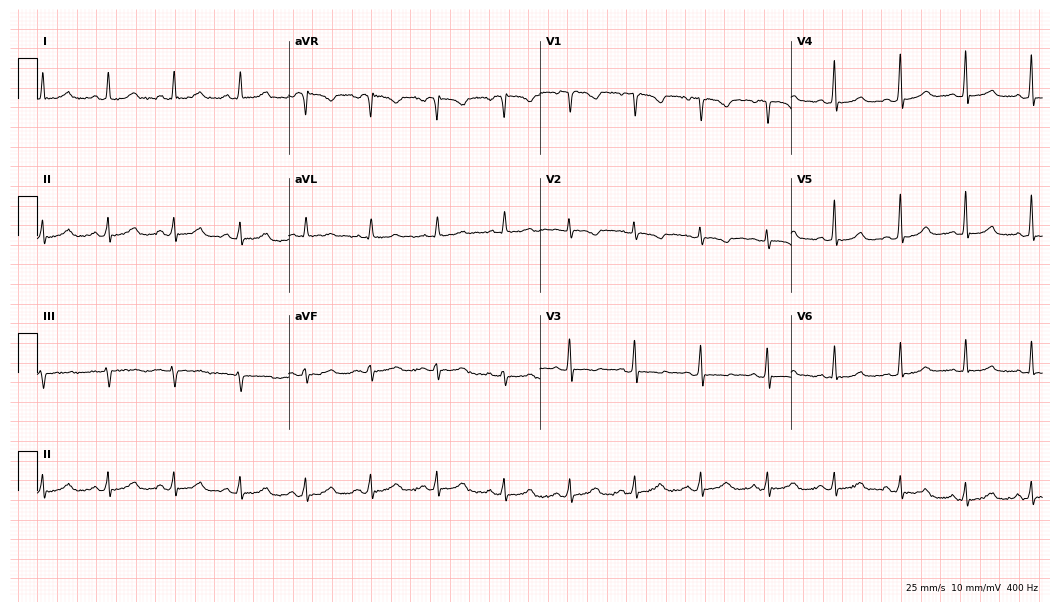
Electrocardiogram (10.2-second recording at 400 Hz), a female patient, 36 years old. Overall reading on record: normal ECG.